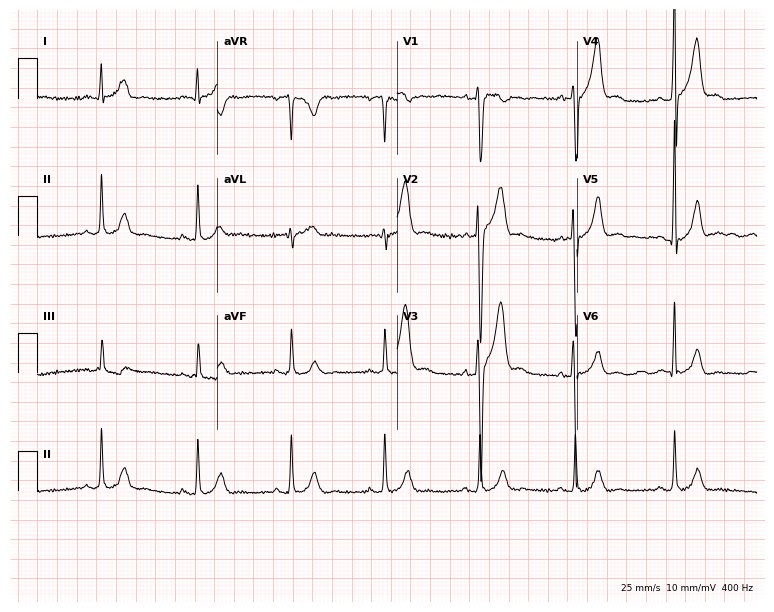
Standard 12-lead ECG recorded from a 25-year-old male. Read as a normal ECG.